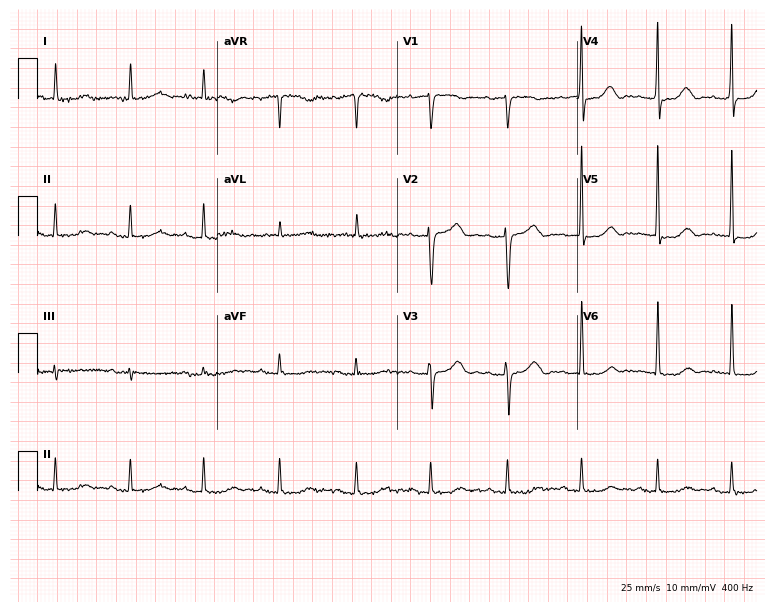
Standard 12-lead ECG recorded from a 79-year-old female patient. Read as a normal ECG.